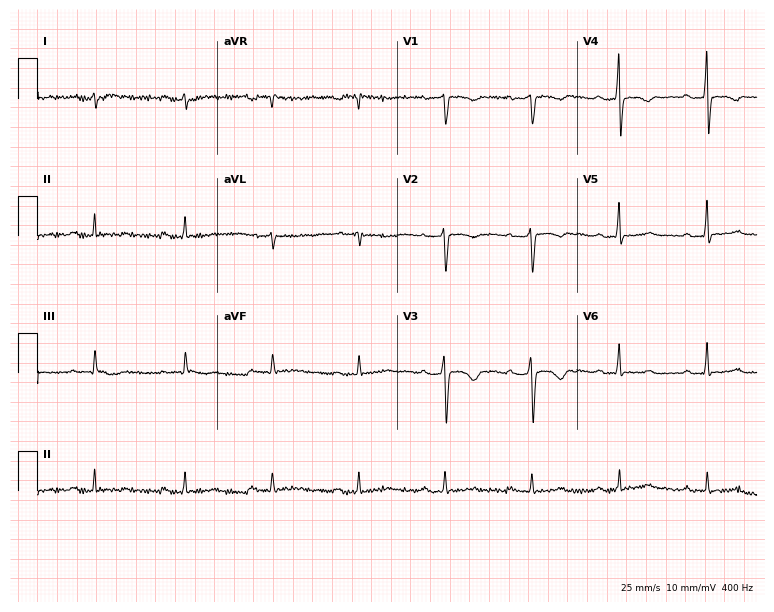
12-lead ECG (7.3-second recording at 400 Hz) from a woman, 42 years old. Screened for six findings — first-degree AV block, right bundle branch block (RBBB), left bundle branch block (LBBB), sinus bradycardia, atrial fibrillation (AF), sinus tachycardia — none is recorded. Other findings, if any, are not listed.